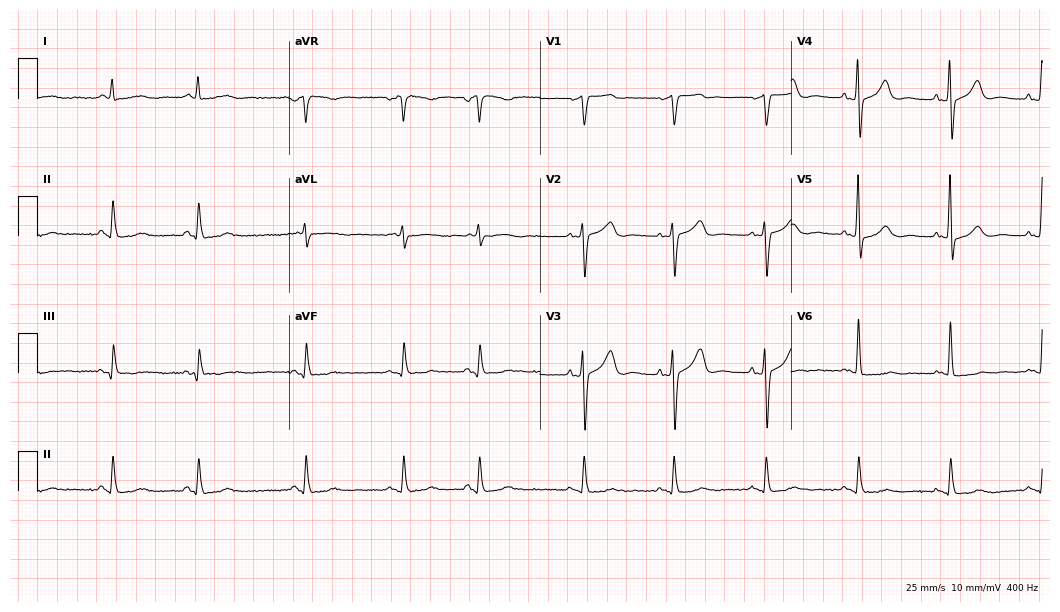
12-lead ECG from a male patient, 70 years old (10.2-second recording at 400 Hz). Recorded interpretation: within normal limits.